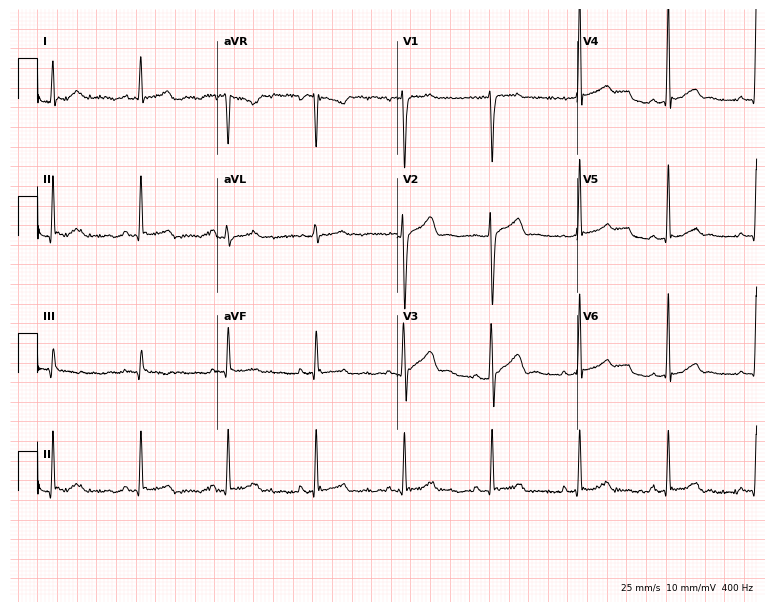
ECG — a man, 42 years old. Labelled as a normal ECG.